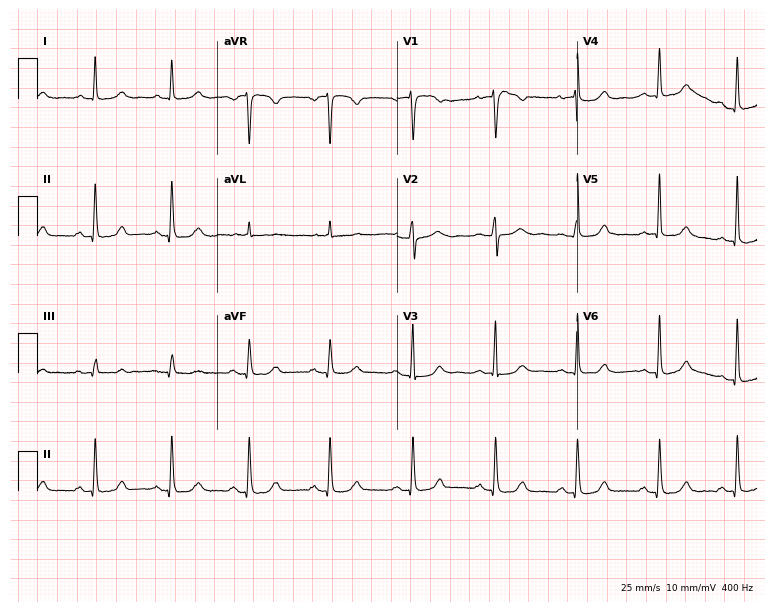
Electrocardiogram, a female, 47 years old. Overall reading on record: normal ECG.